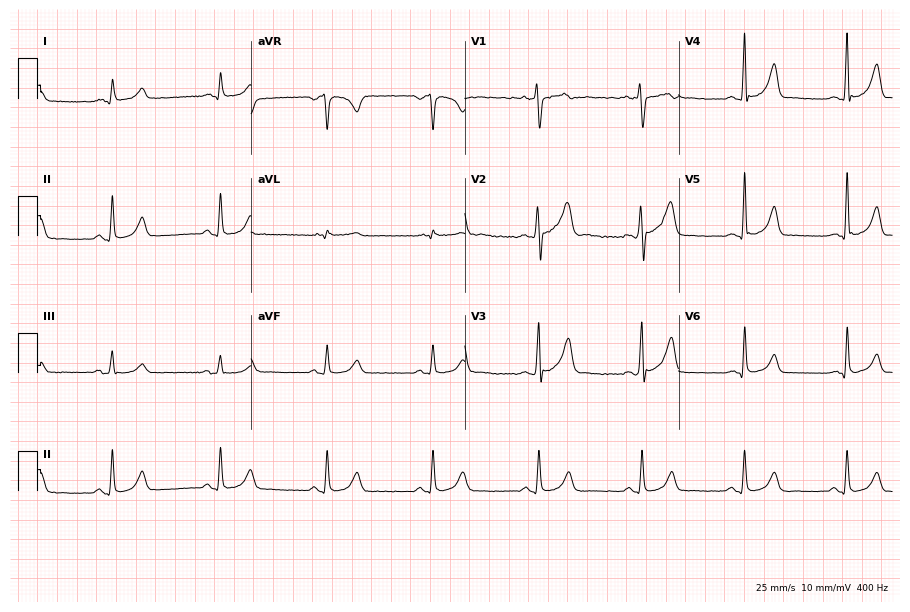
Standard 12-lead ECG recorded from a 23-year-old male patient. Read as a normal ECG.